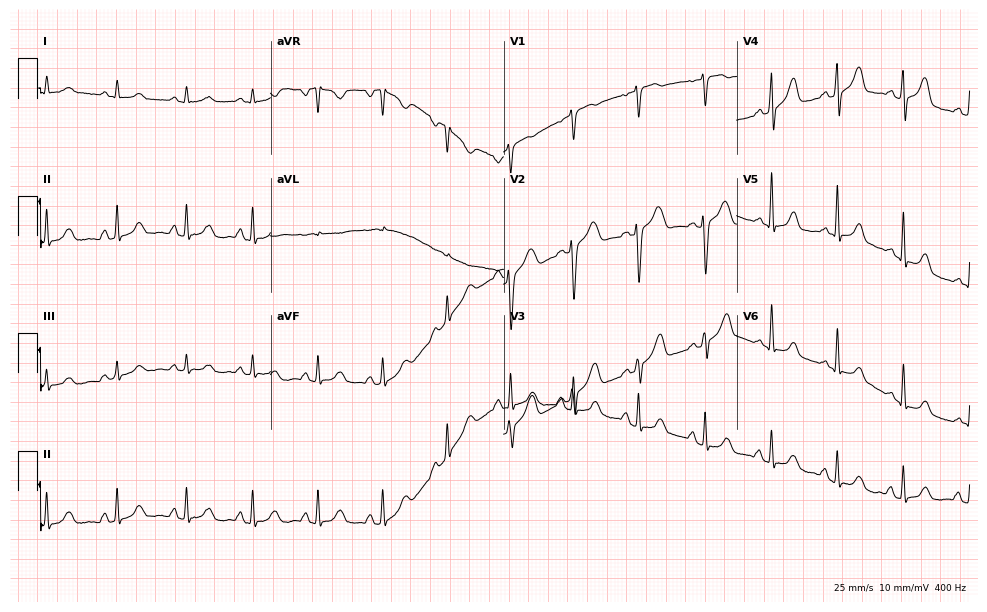
Electrocardiogram (9.5-second recording at 400 Hz), a 45-year-old female patient. Overall reading on record: normal ECG.